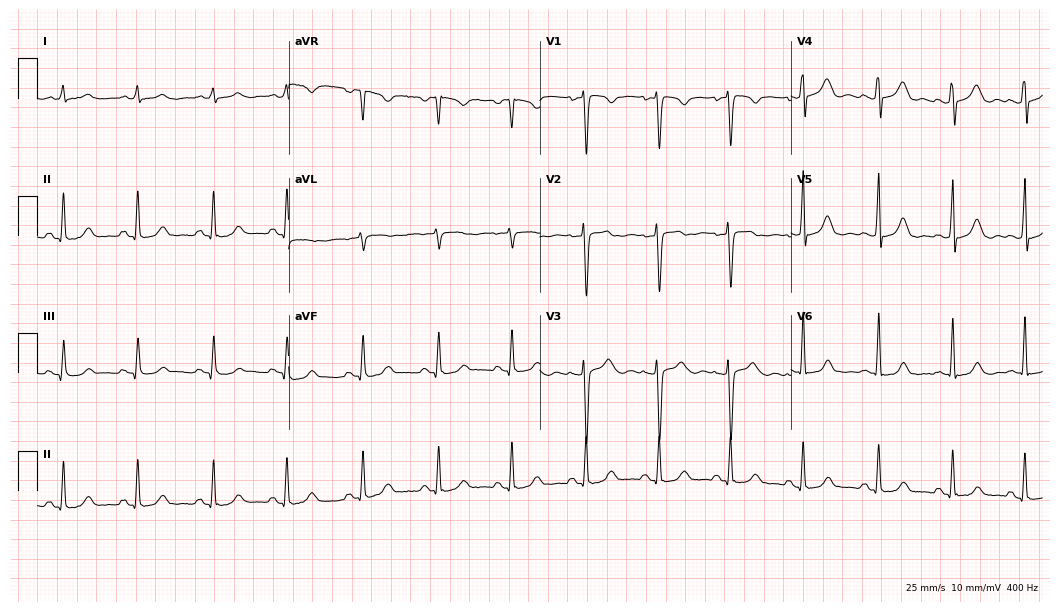
12-lead ECG from a 35-year-old woman. Recorded interpretation: within normal limits.